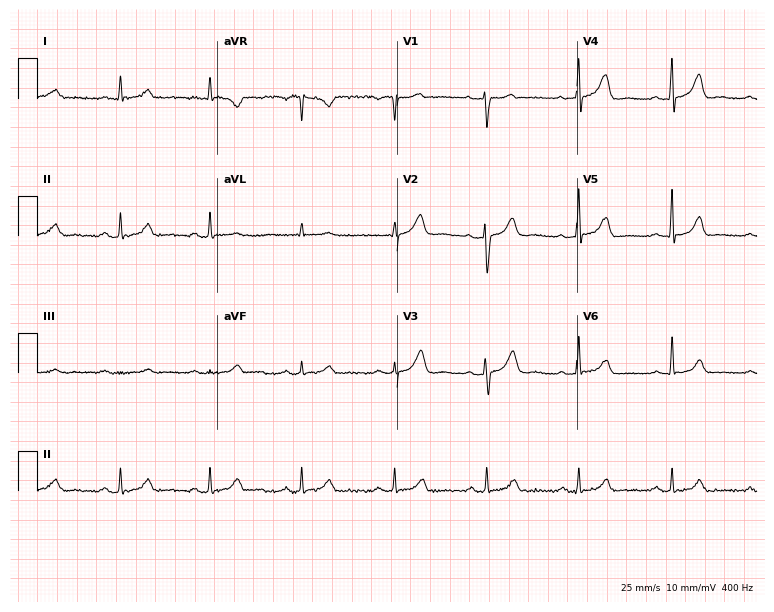
12-lead ECG (7.3-second recording at 400 Hz) from a female, 55 years old. Screened for six findings — first-degree AV block, right bundle branch block, left bundle branch block, sinus bradycardia, atrial fibrillation, sinus tachycardia — none is recorded. Other findings, if any, are not listed.